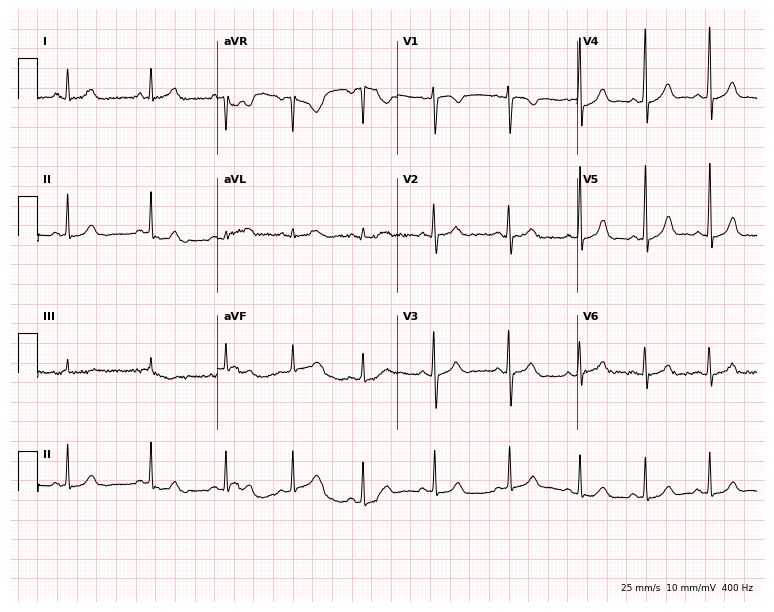
12-lead ECG from a female, 19 years old. Recorded interpretation: within normal limits.